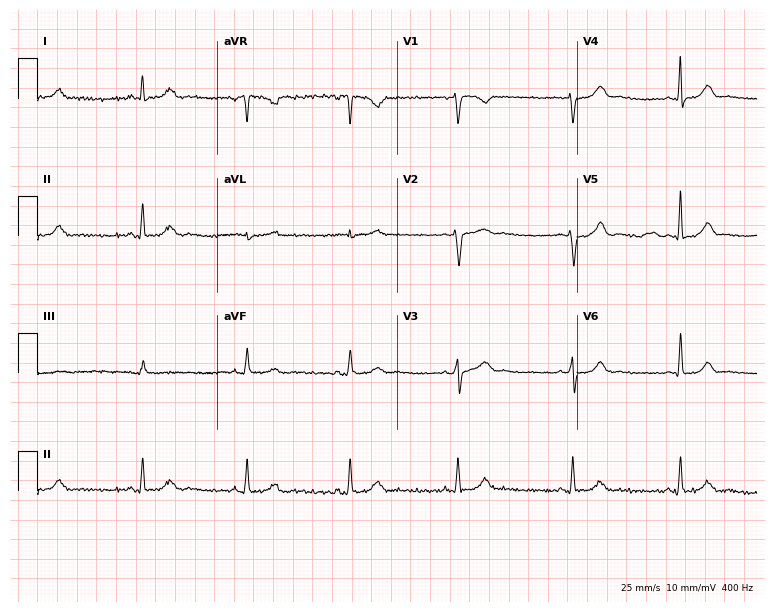
Resting 12-lead electrocardiogram (7.3-second recording at 400 Hz). Patient: a 43-year-old woman. Read as a normal ECG.